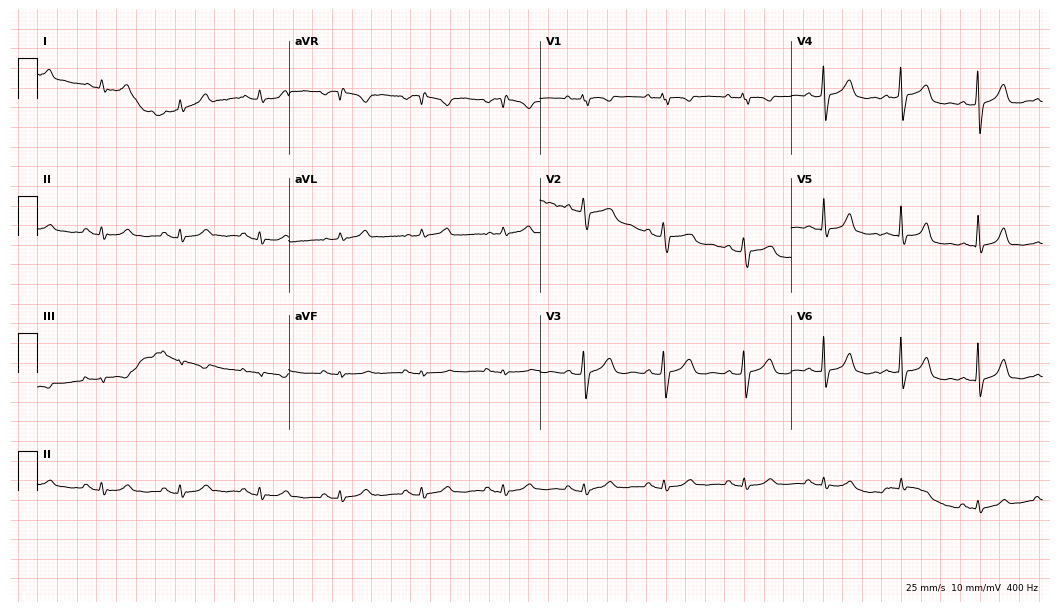
ECG — a 42-year-old woman. Labelled as a normal ECG.